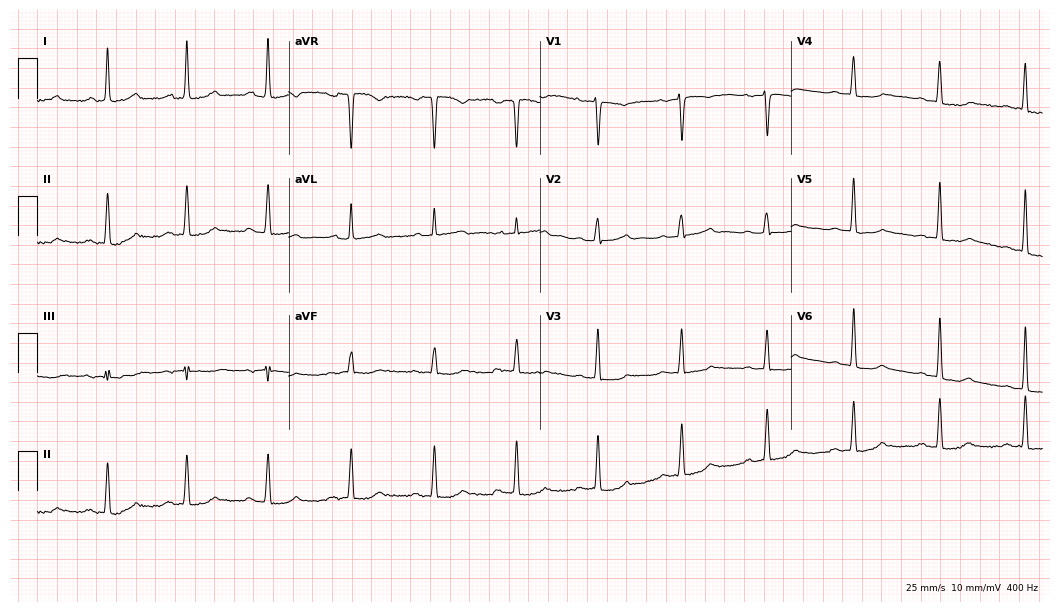
Electrocardiogram, a woman, 48 years old. Of the six screened findings (first-degree AV block, right bundle branch block, left bundle branch block, sinus bradycardia, atrial fibrillation, sinus tachycardia), none is recorded.